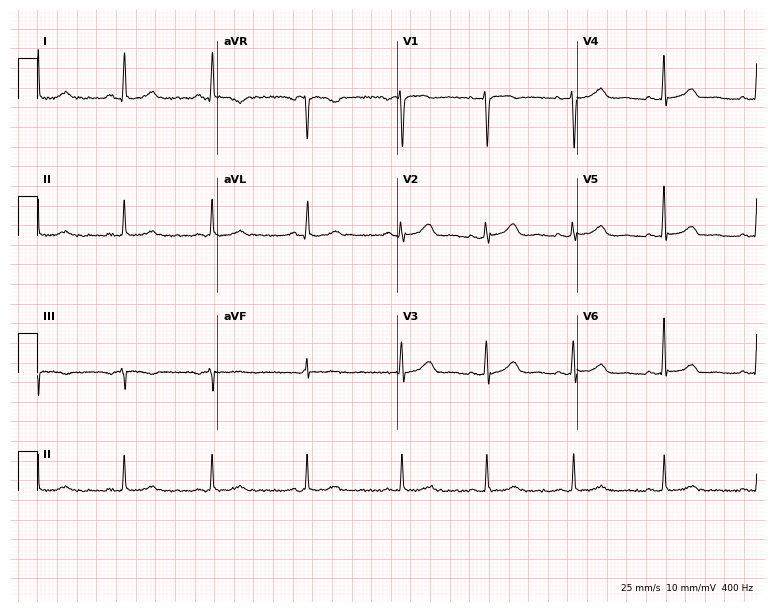
Electrocardiogram (7.3-second recording at 400 Hz), a female, 50 years old. Overall reading on record: normal ECG.